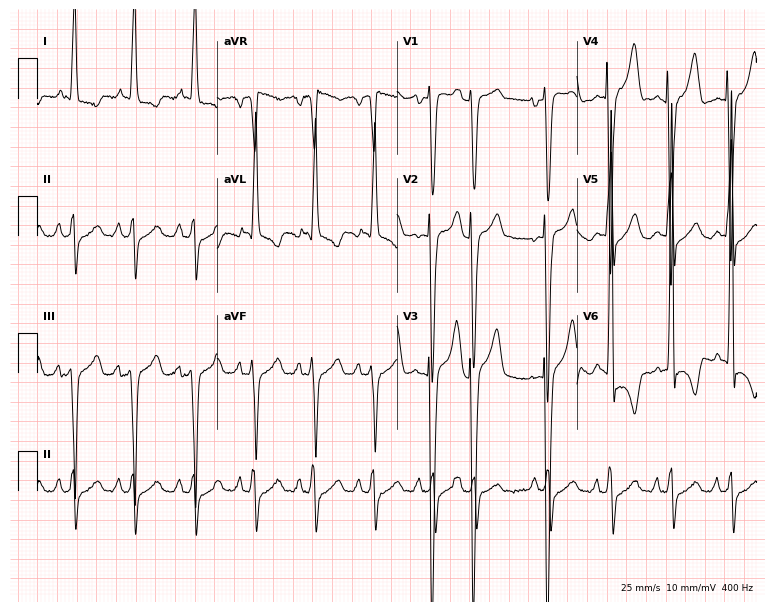
ECG — a 76-year-old female. Screened for six findings — first-degree AV block, right bundle branch block, left bundle branch block, sinus bradycardia, atrial fibrillation, sinus tachycardia — none is recorded. Findings outside these six are not listed.